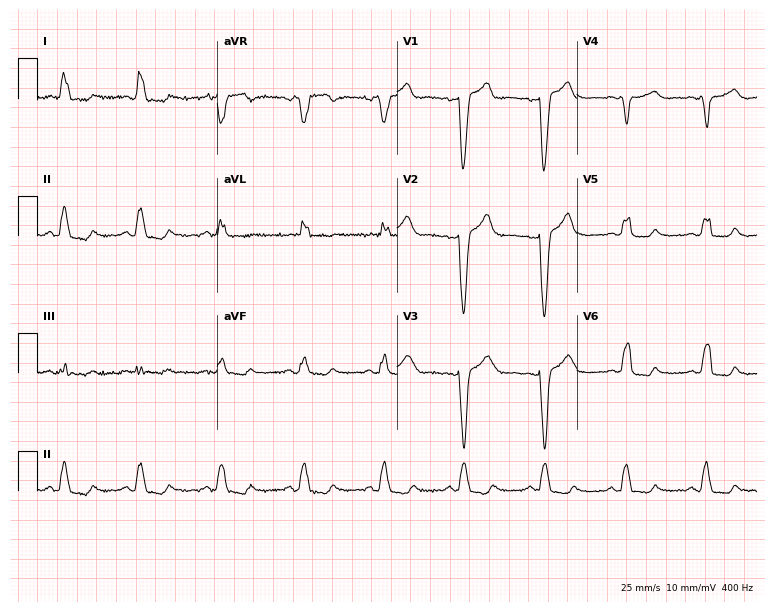
ECG — a 55-year-old woman. Findings include left bundle branch block.